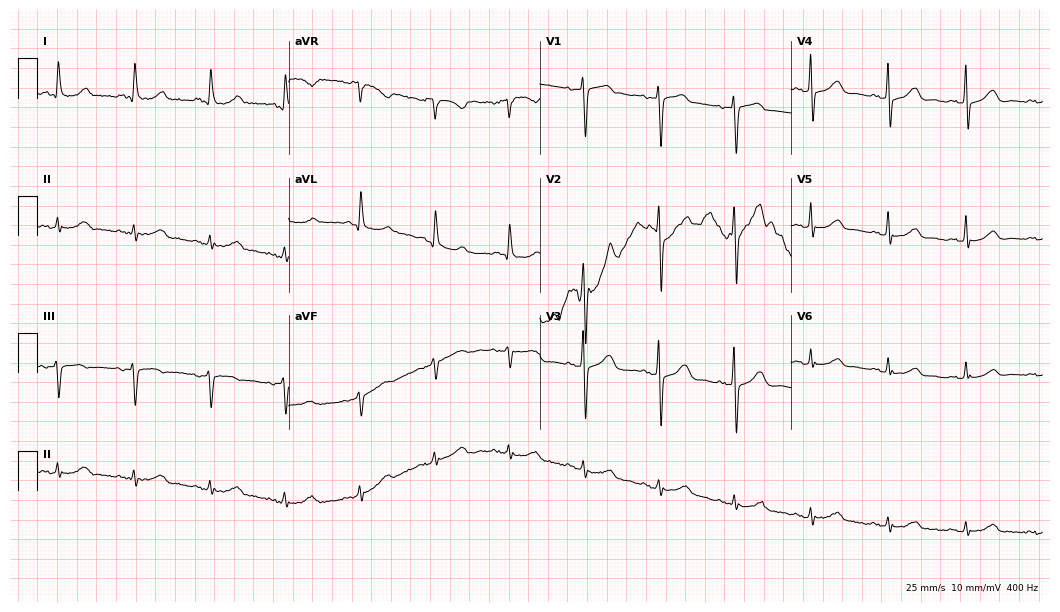
Resting 12-lead electrocardiogram. Patient: a 68-year-old male. Read as a normal ECG.